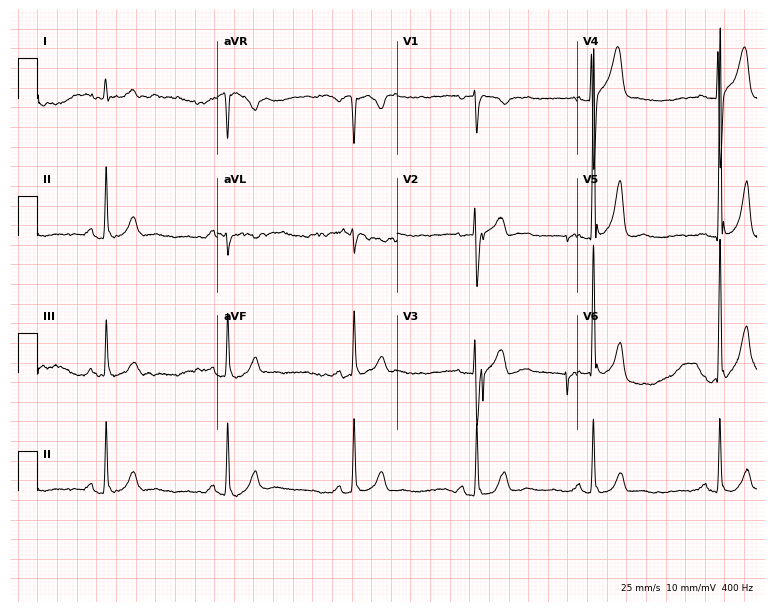
12-lead ECG from a male patient, 47 years old. Screened for six findings — first-degree AV block, right bundle branch block, left bundle branch block, sinus bradycardia, atrial fibrillation, sinus tachycardia — none is recorded.